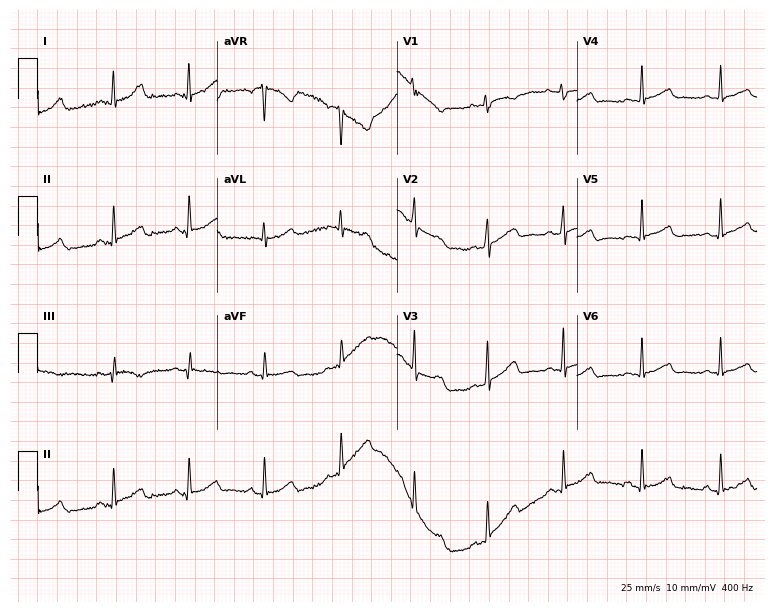
ECG (7.3-second recording at 400 Hz) — a 22-year-old woman. Labelled as a normal ECG.